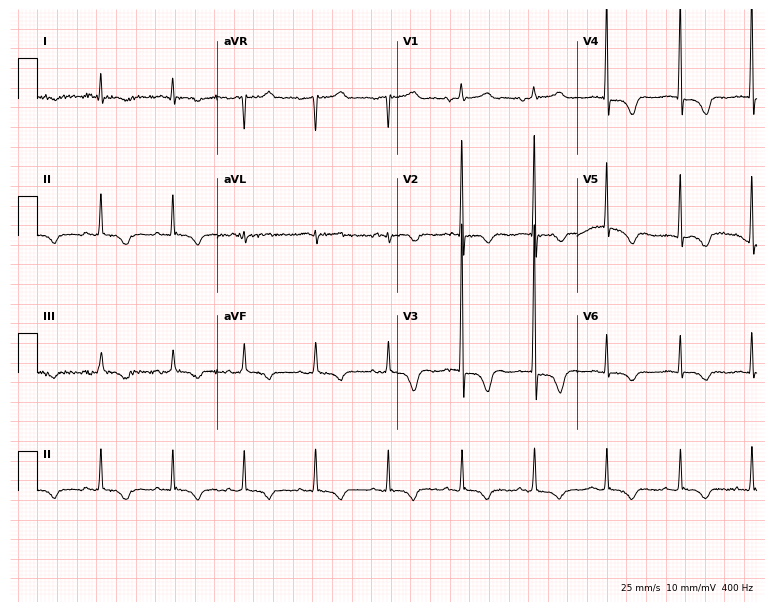
Resting 12-lead electrocardiogram (7.3-second recording at 400 Hz). Patient: an 85-year-old female. None of these six findings is recorded: first-degree AV block, right bundle branch block, left bundle branch block, sinus bradycardia, atrial fibrillation, sinus tachycardia. Other findings, if any, are not listed.